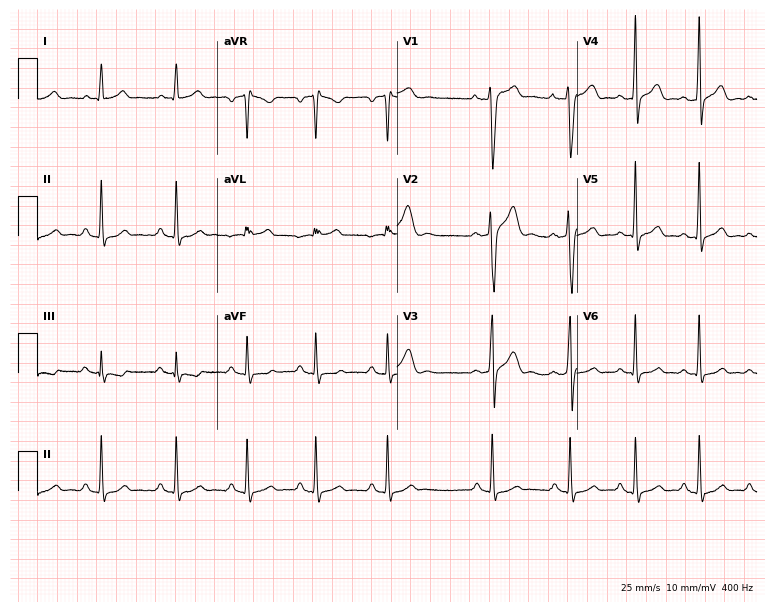
12-lead ECG from a man, 23 years old (7.3-second recording at 400 Hz). No first-degree AV block, right bundle branch block, left bundle branch block, sinus bradycardia, atrial fibrillation or sinus tachycardia recorded for this tracing. Only these six findings were labelled.